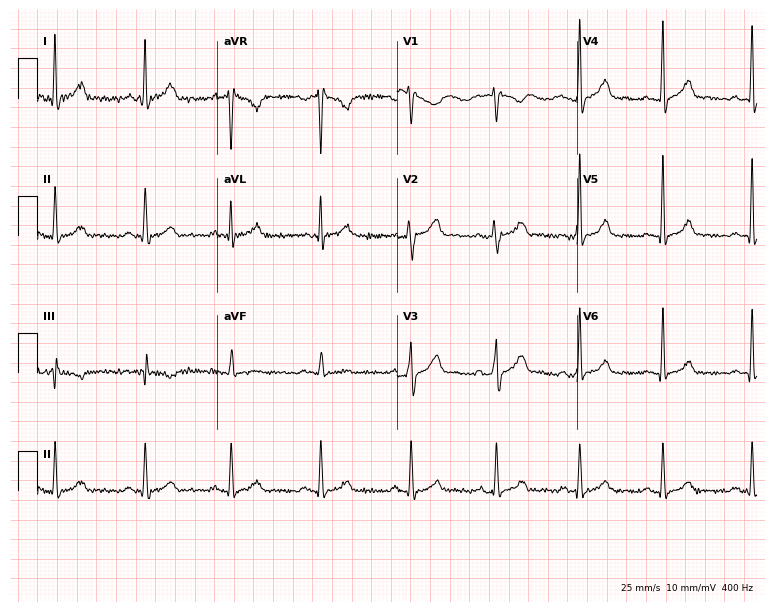
12-lead ECG from a man, 36 years old (7.3-second recording at 400 Hz). No first-degree AV block, right bundle branch block, left bundle branch block, sinus bradycardia, atrial fibrillation or sinus tachycardia recorded for this tracing.